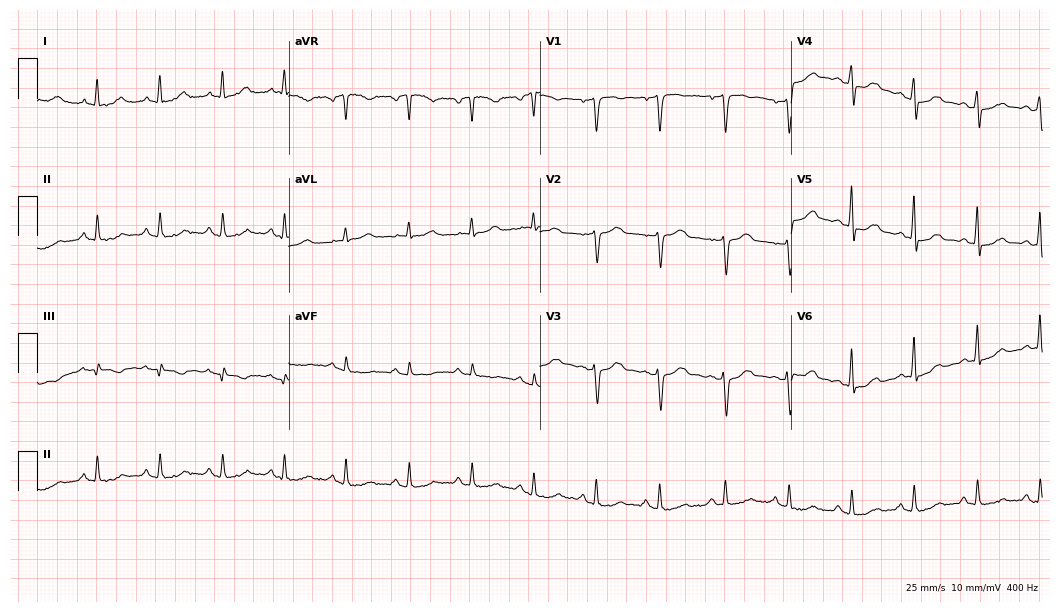
Standard 12-lead ECG recorded from a 52-year-old female patient (10.2-second recording at 400 Hz). Read as a normal ECG.